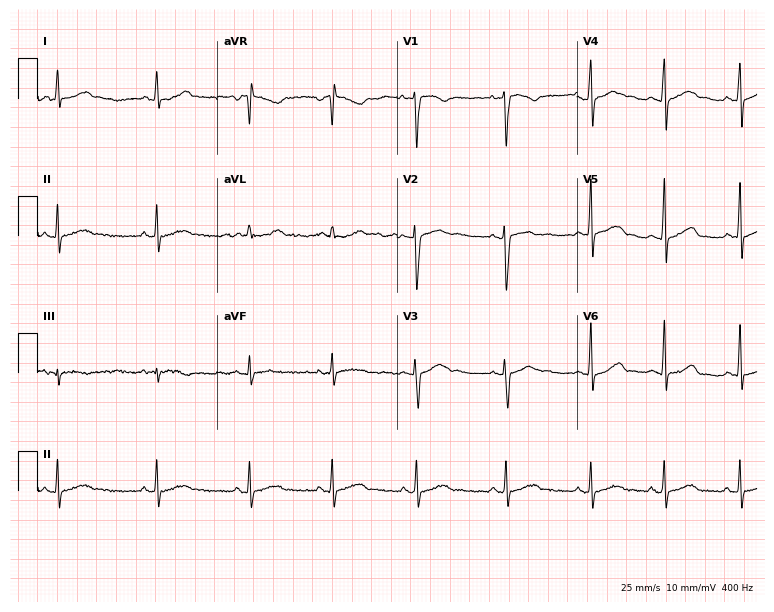
Resting 12-lead electrocardiogram (7.3-second recording at 400 Hz). Patient: a 22-year-old female. Read as a normal ECG.